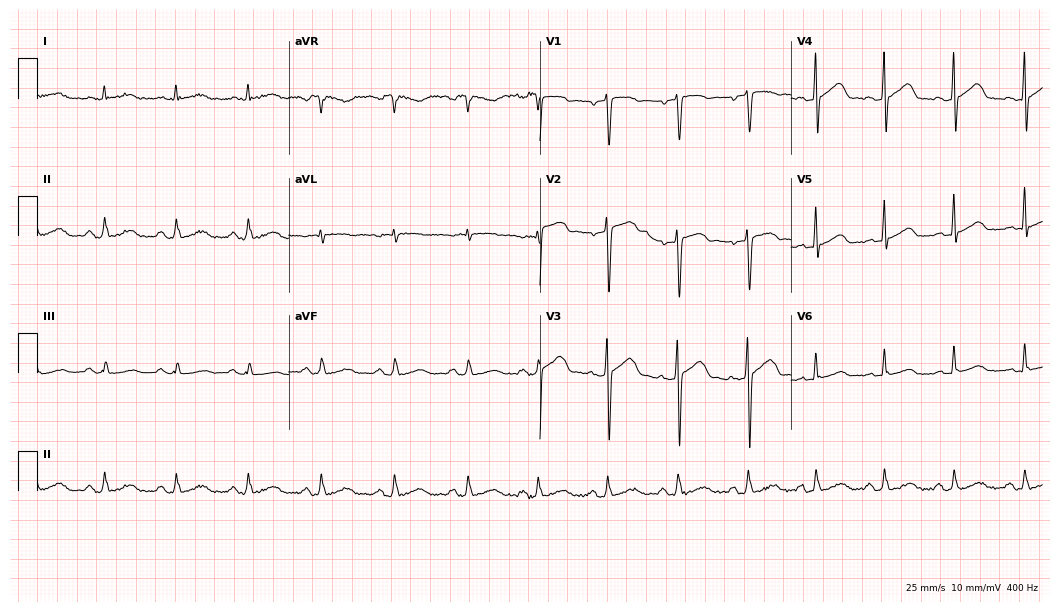
12-lead ECG from a man, 60 years old. Recorded interpretation: within normal limits.